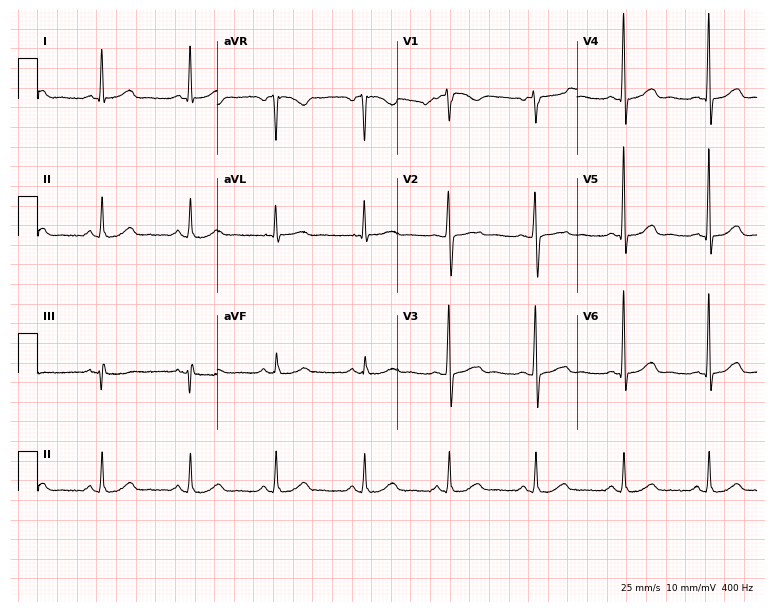
Standard 12-lead ECG recorded from a 59-year-old female. Read as a normal ECG.